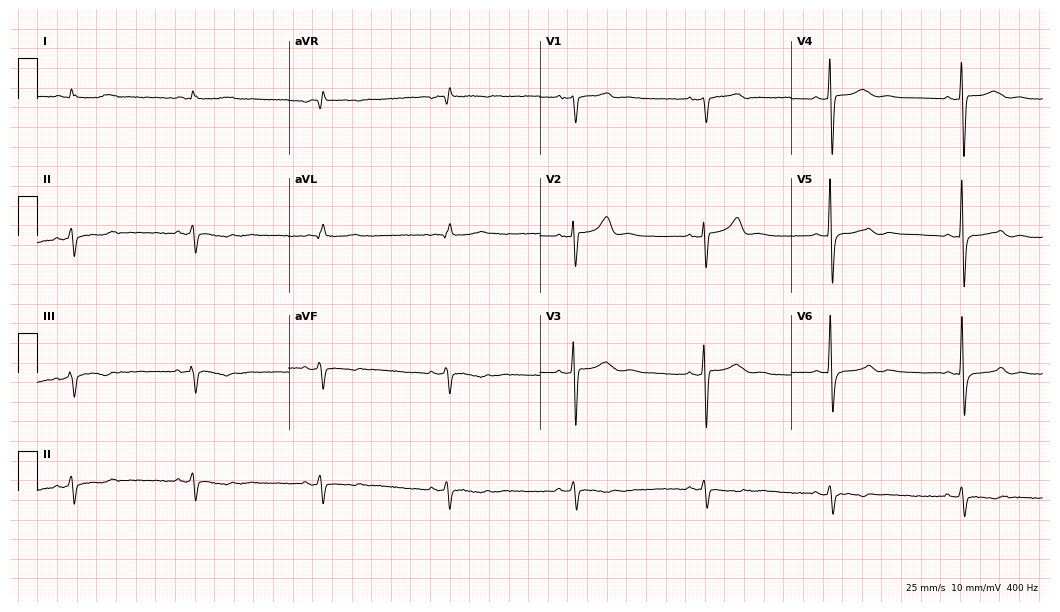
Standard 12-lead ECG recorded from a male patient, 57 years old (10.2-second recording at 400 Hz). The tracing shows sinus bradycardia (a sinus rate of 50 beats per minute or less).